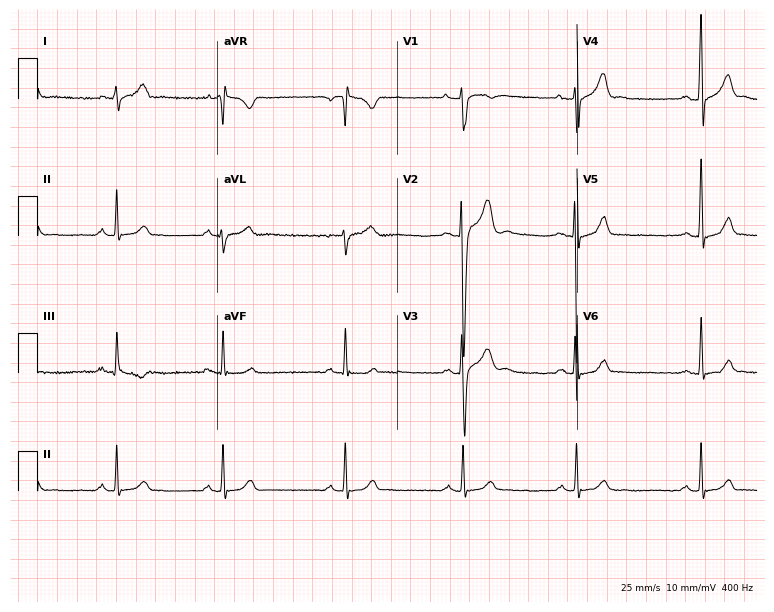
ECG — a 29-year-old male patient. Labelled as a normal ECG.